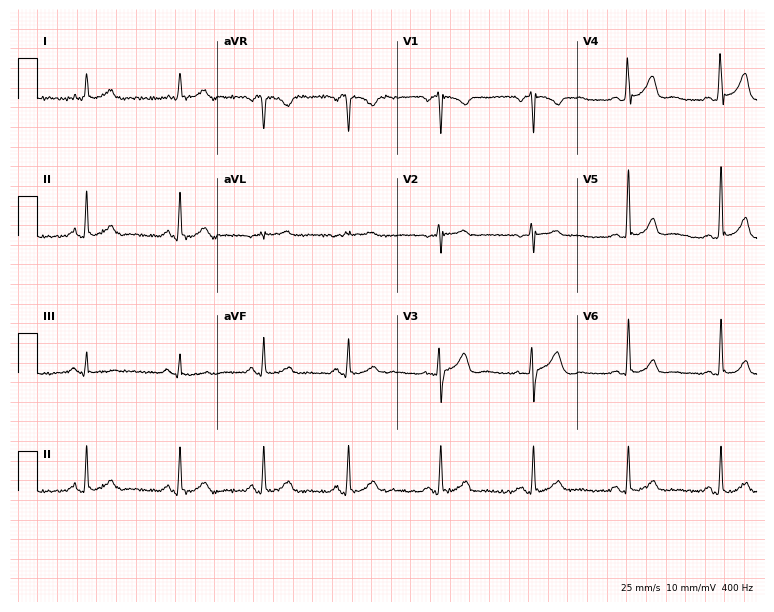
Standard 12-lead ECG recorded from a 30-year-old female. None of these six findings is recorded: first-degree AV block, right bundle branch block (RBBB), left bundle branch block (LBBB), sinus bradycardia, atrial fibrillation (AF), sinus tachycardia. Only these six findings were labelled.